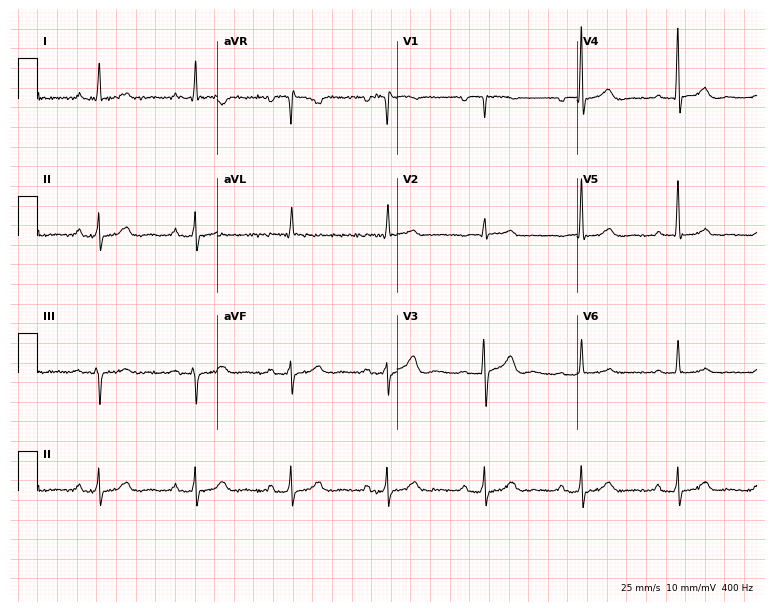
Resting 12-lead electrocardiogram (7.3-second recording at 400 Hz). Patient: an 84-year-old female. Read as a normal ECG.